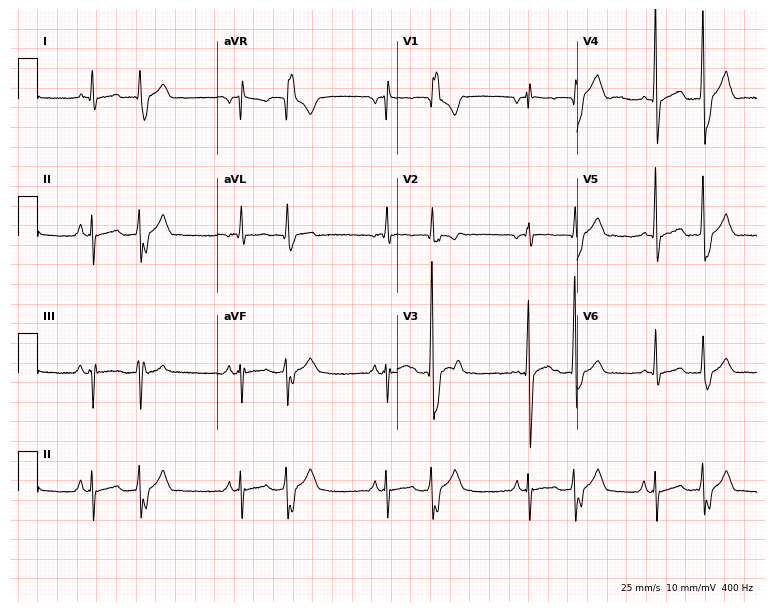
ECG (7.3-second recording at 400 Hz) — a man, 23 years old. Screened for six findings — first-degree AV block, right bundle branch block, left bundle branch block, sinus bradycardia, atrial fibrillation, sinus tachycardia — none is recorded. Findings outside these six are not listed.